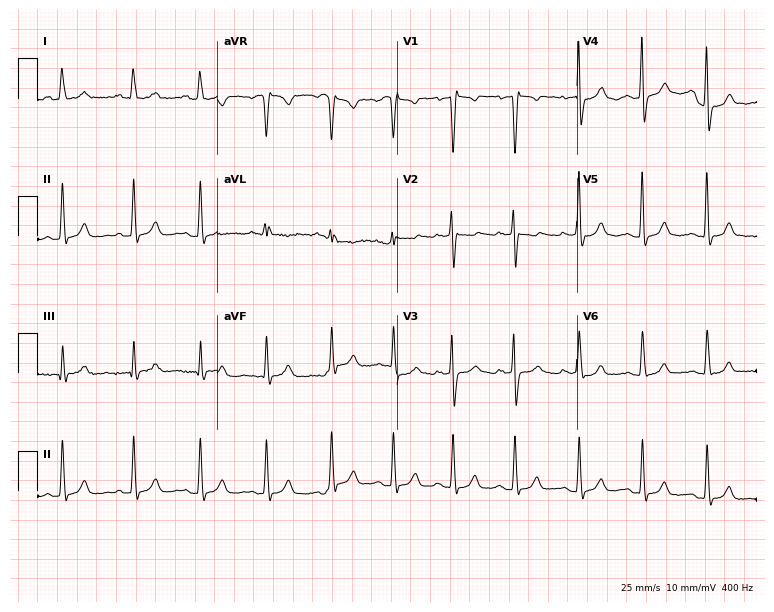
12-lead ECG from a female patient, 22 years old. No first-degree AV block, right bundle branch block, left bundle branch block, sinus bradycardia, atrial fibrillation or sinus tachycardia recorded for this tracing. Other findings, if any, are not listed.